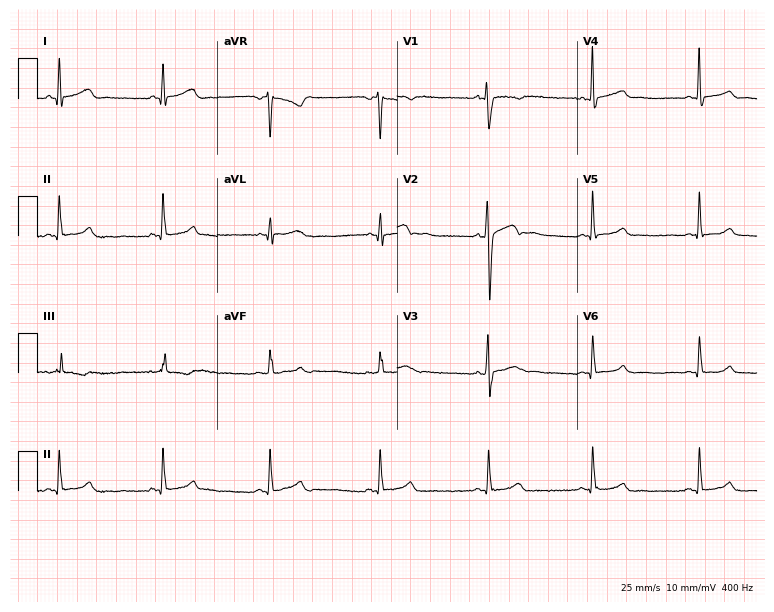
12-lead ECG (7.3-second recording at 400 Hz) from a man, 33 years old. Labelled as a normal ECG.